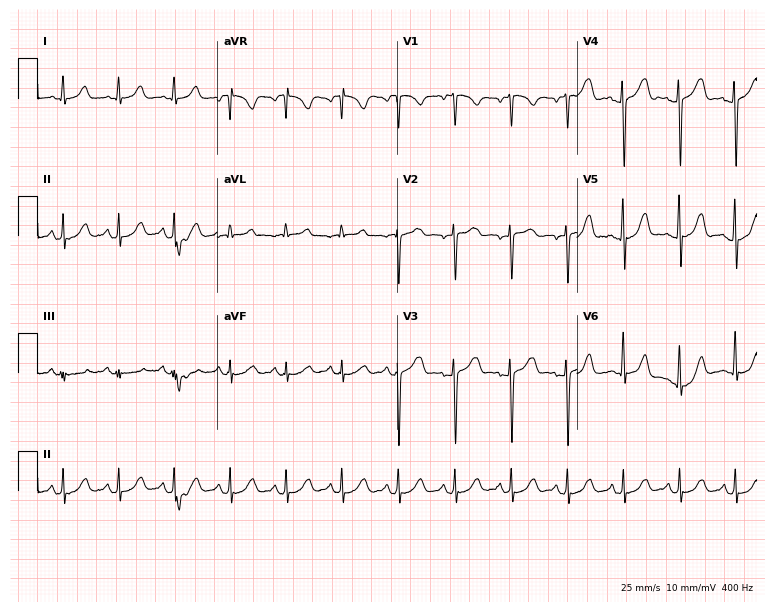
12-lead ECG (7.3-second recording at 400 Hz) from a 33-year-old woman. Findings include sinus tachycardia (a sinus rate of 100 beats per minute or more).